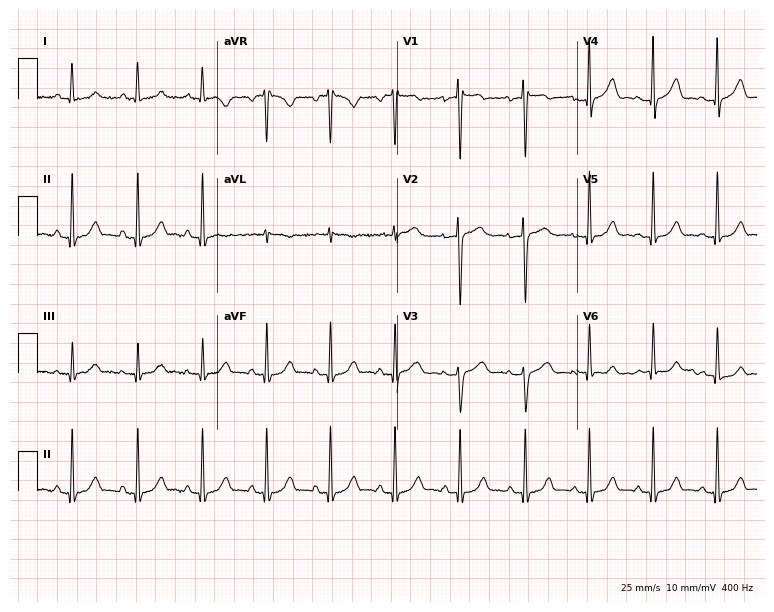
ECG (7.3-second recording at 400 Hz) — a 35-year-old female. Labelled as a normal ECG.